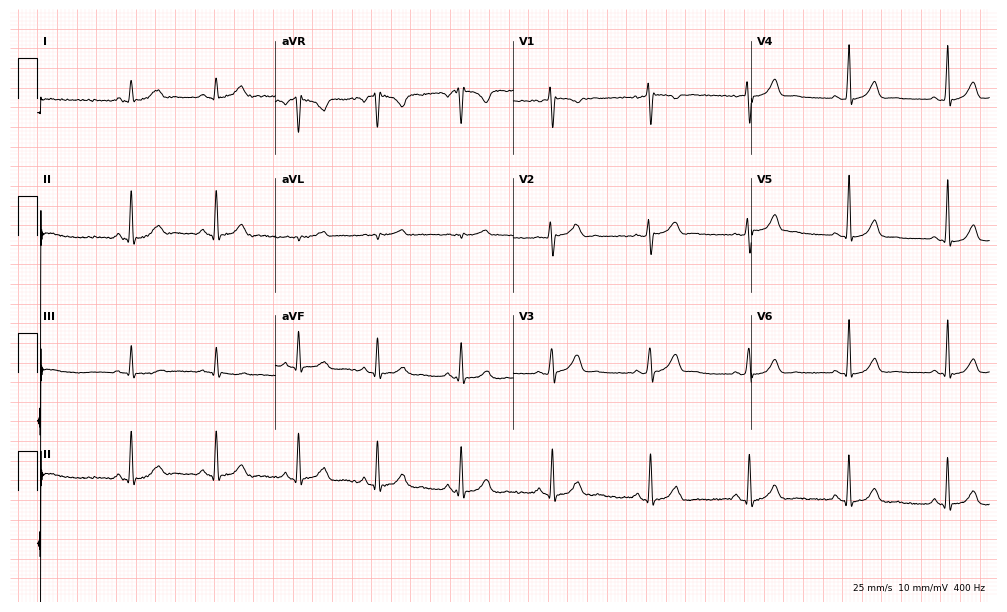
Standard 12-lead ECG recorded from a woman, 30 years old. None of these six findings is recorded: first-degree AV block, right bundle branch block, left bundle branch block, sinus bradycardia, atrial fibrillation, sinus tachycardia.